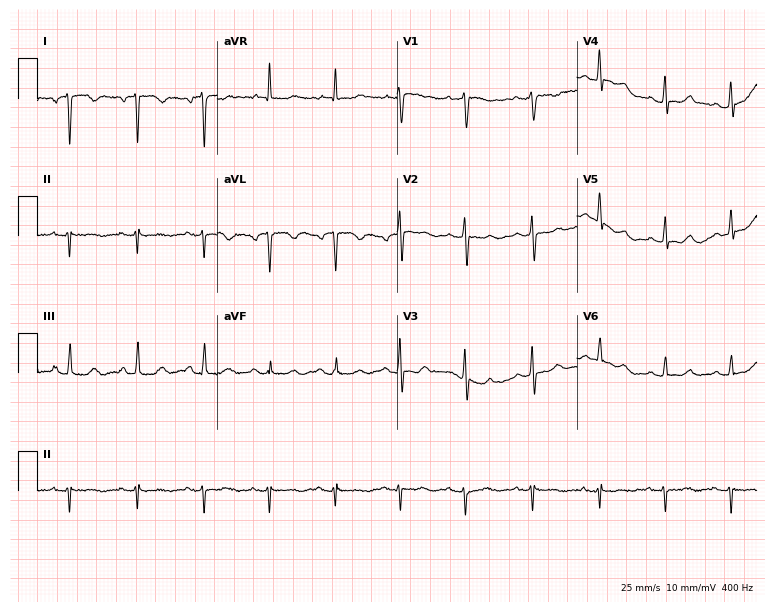
Standard 12-lead ECG recorded from a female, 42 years old. None of these six findings is recorded: first-degree AV block, right bundle branch block, left bundle branch block, sinus bradycardia, atrial fibrillation, sinus tachycardia. Other findings, if any, are not listed.